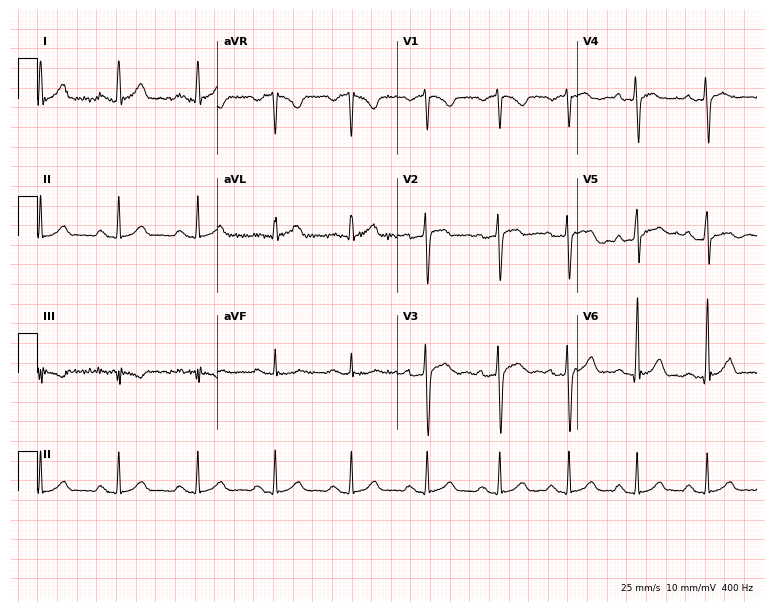
Standard 12-lead ECG recorded from a male patient, 42 years old (7.3-second recording at 400 Hz). None of these six findings is recorded: first-degree AV block, right bundle branch block (RBBB), left bundle branch block (LBBB), sinus bradycardia, atrial fibrillation (AF), sinus tachycardia.